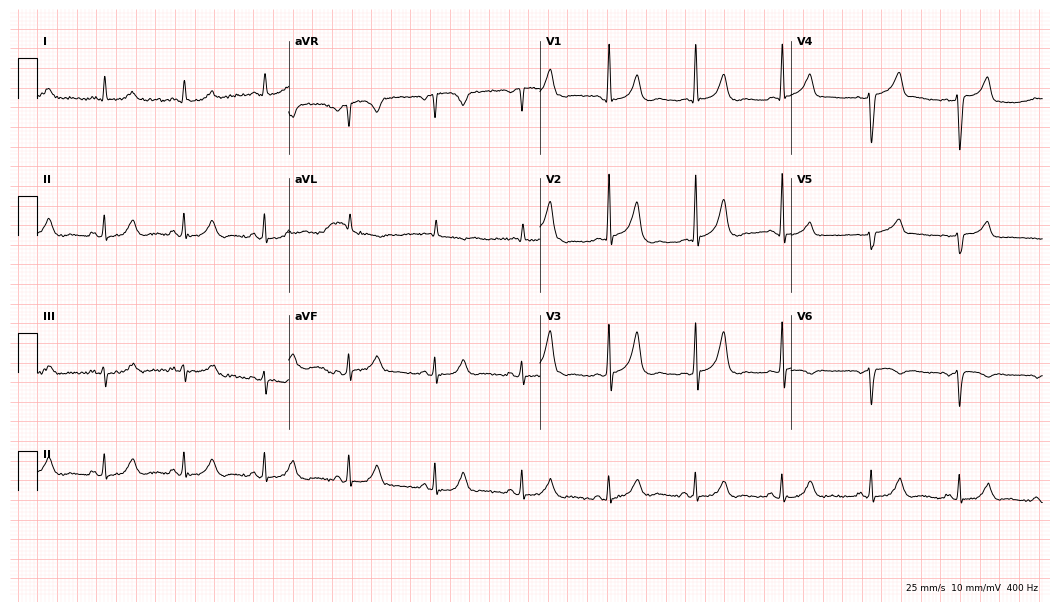
12-lead ECG from a 44-year-old female (10.2-second recording at 400 Hz). No first-degree AV block, right bundle branch block, left bundle branch block, sinus bradycardia, atrial fibrillation or sinus tachycardia recorded for this tracing.